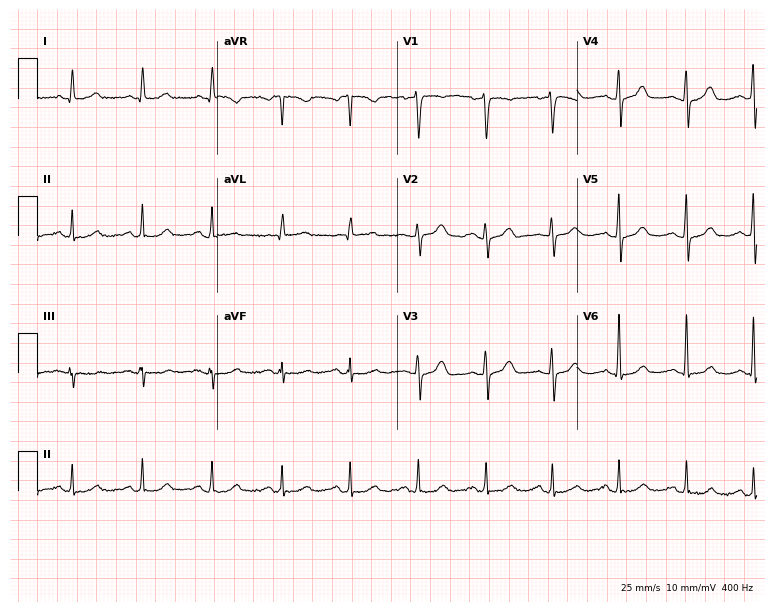
12-lead ECG (7.3-second recording at 400 Hz) from a female, 55 years old. Labelled as a normal ECG.